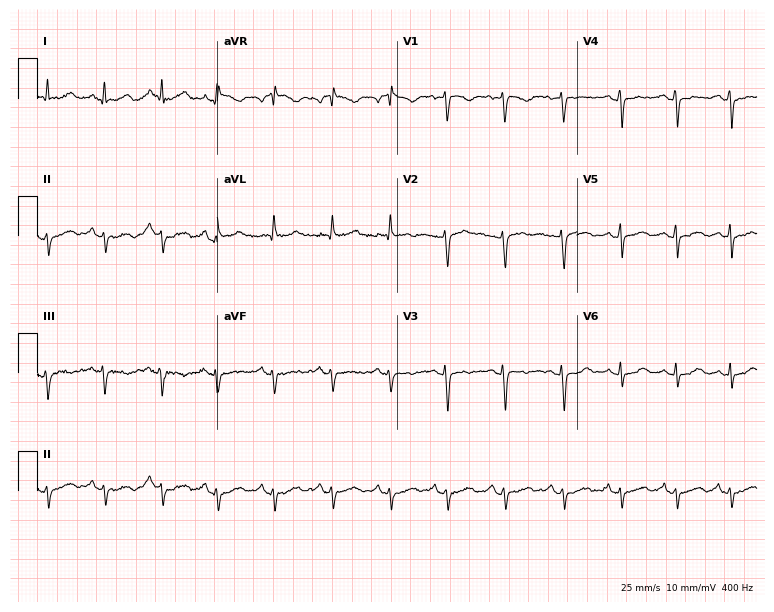
12-lead ECG from a female, 27 years old (7.3-second recording at 400 Hz). No first-degree AV block, right bundle branch block (RBBB), left bundle branch block (LBBB), sinus bradycardia, atrial fibrillation (AF) or sinus tachycardia recorded for this tracing.